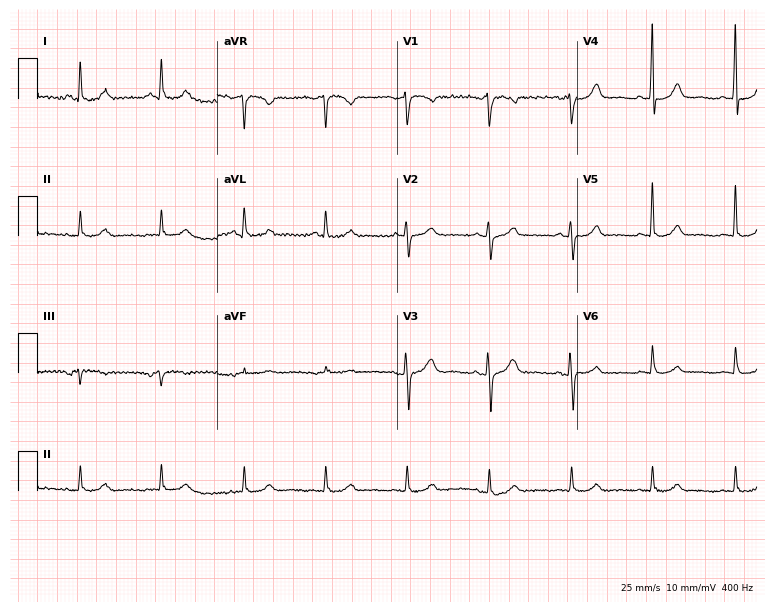
Standard 12-lead ECG recorded from a 64-year-old female. Read as a normal ECG.